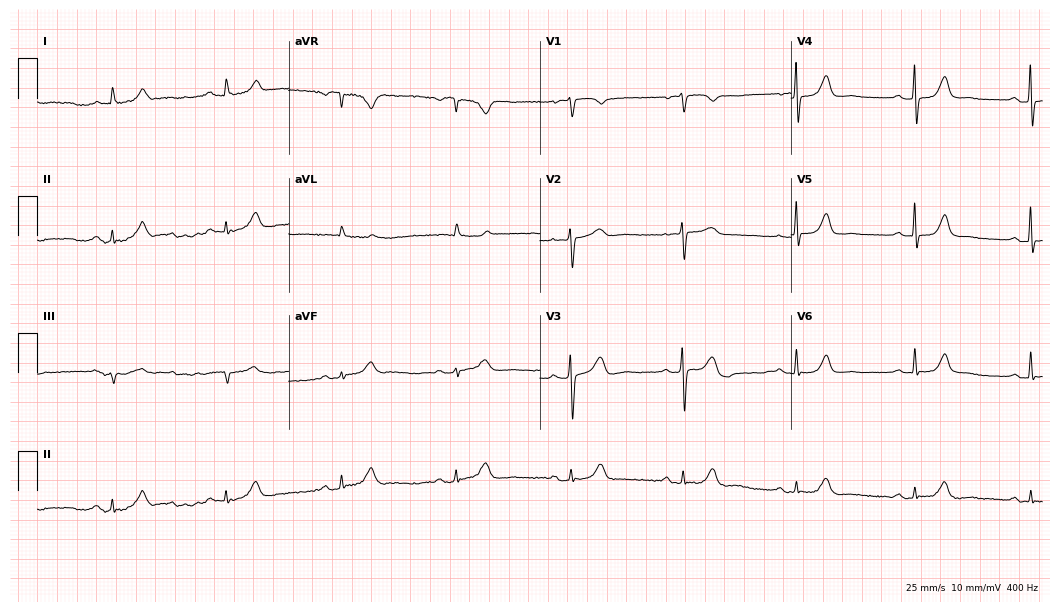
12-lead ECG (10.2-second recording at 400 Hz) from a female patient, 81 years old. Labelled as a normal ECG.